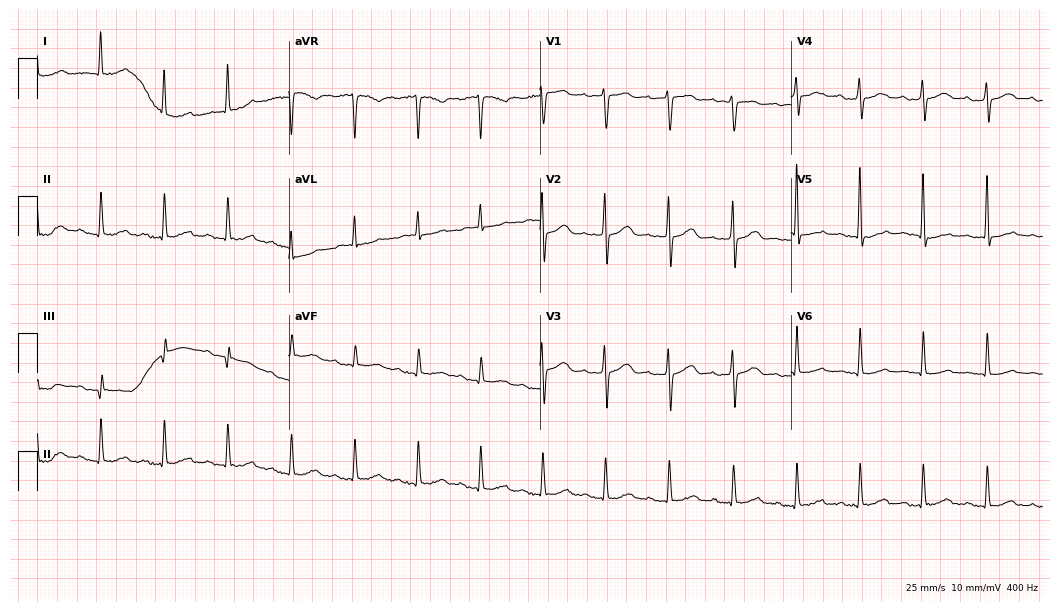
12-lead ECG from an 84-year-old female patient (10.2-second recording at 400 Hz). No first-degree AV block, right bundle branch block (RBBB), left bundle branch block (LBBB), sinus bradycardia, atrial fibrillation (AF) or sinus tachycardia recorded for this tracing. Findings outside these six are not listed.